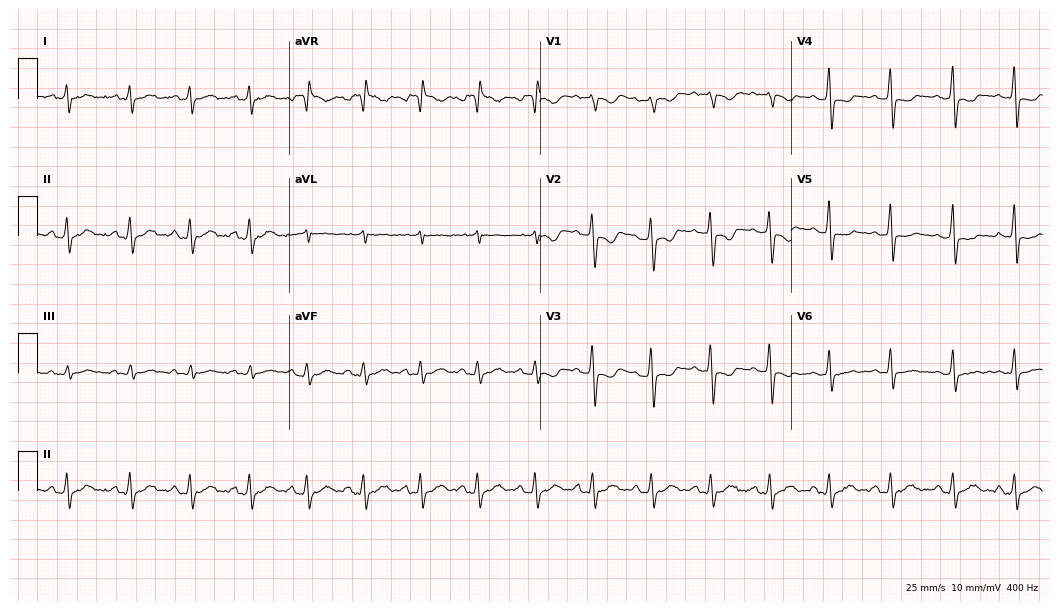
Electrocardiogram (10.2-second recording at 400 Hz), a man, 21 years old. Of the six screened findings (first-degree AV block, right bundle branch block, left bundle branch block, sinus bradycardia, atrial fibrillation, sinus tachycardia), none is recorded.